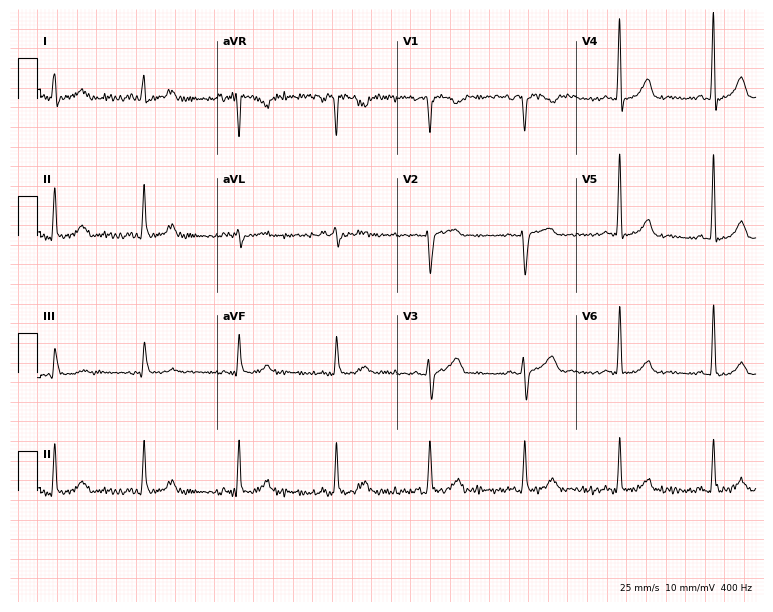
12-lead ECG from a 56-year-old female patient. Recorded interpretation: within normal limits.